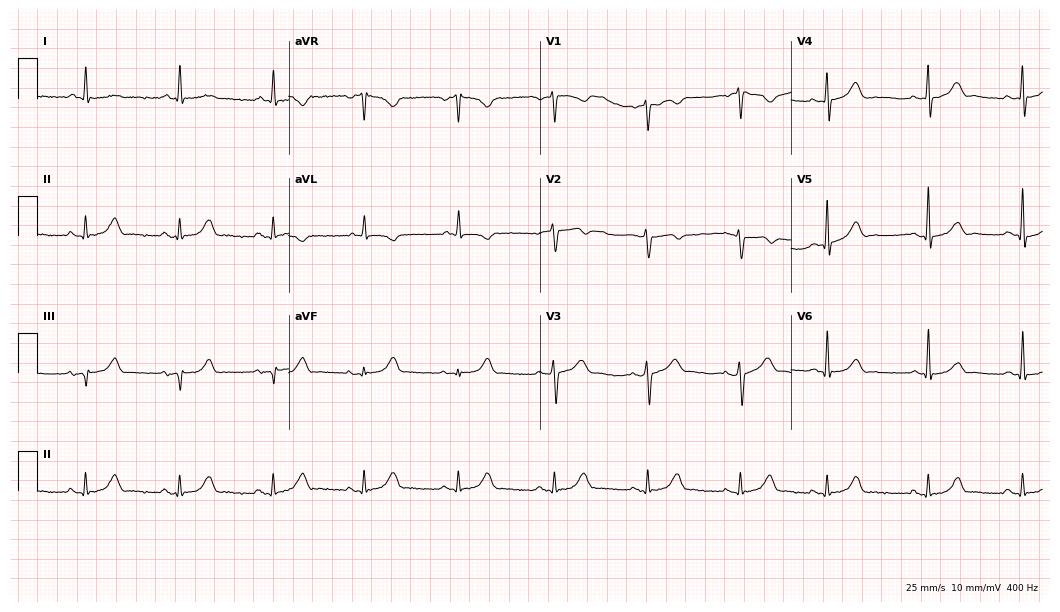
ECG (10.2-second recording at 400 Hz) — a male, 70 years old. Screened for six findings — first-degree AV block, right bundle branch block, left bundle branch block, sinus bradycardia, atrial fibrillation, sinus tachycardia — none is recorded.